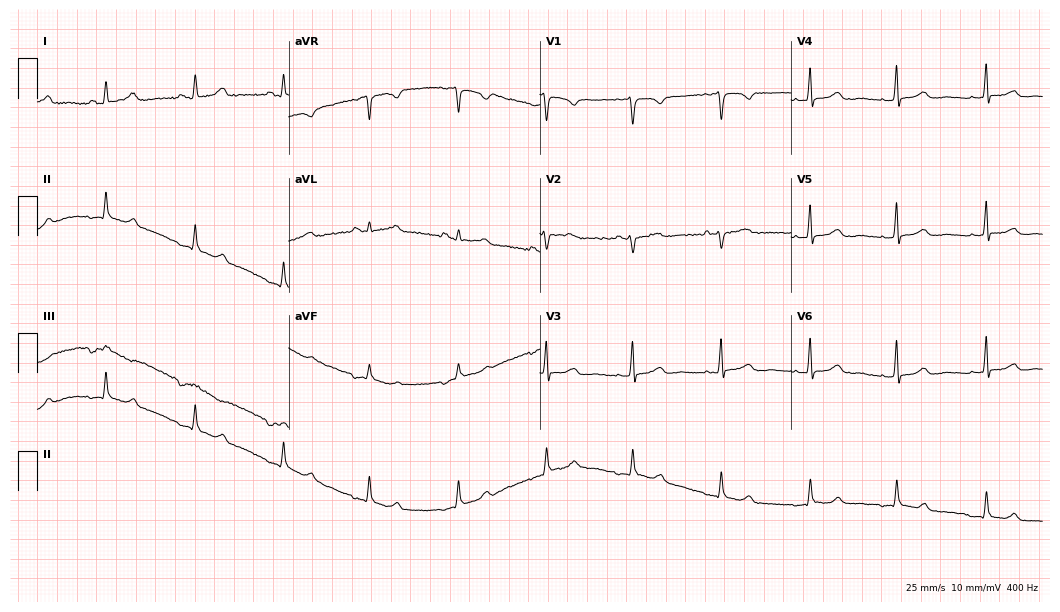
Resting 12-lead electrocardiogram (10.2-second recording at 400 Hz). Patient: a 63-year-old female. None of these six findings is recorded: first-degree AV block, right bundle branch block, left bundle branch block, sinus bradycardia, atrial fibrillation, sinus tachycardia.